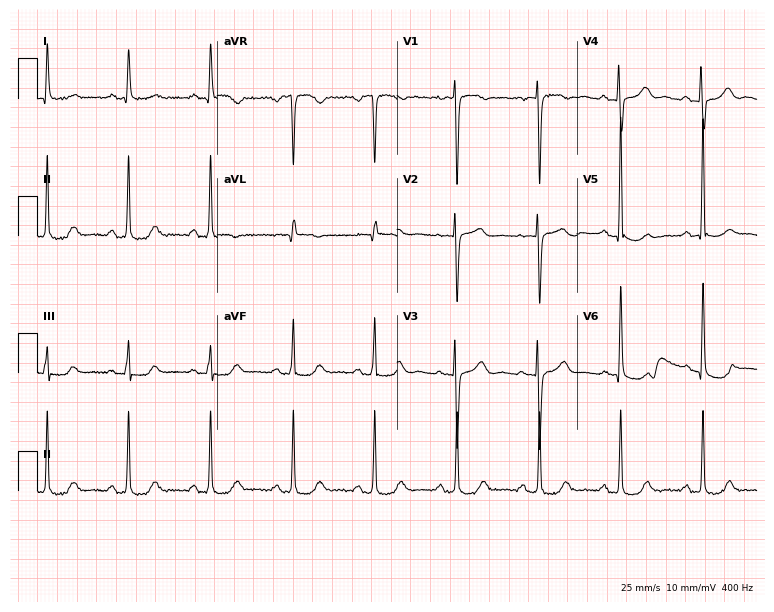
ECG — a 65-year-old female. Screened for six findings — first-degree AV block, right bundle branch block, left bundle branch block, sinus bradycardia, atrial fibrillation, sinus tachycardia — none is recorded. Other findings, if any, are not listed.